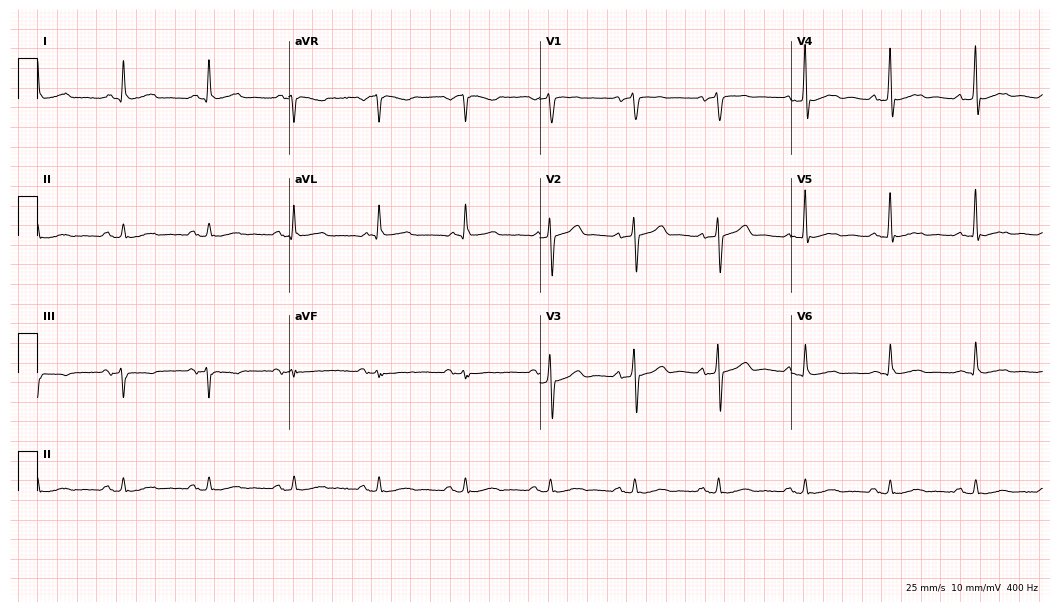
Electrocardiogram (10.2-second recording at 400 Hz), a 61-year-old male. Of the six screened findings (first-degree AV block, right bundle branch block (RBBB), left bundle branch block (LBBB), sinus bradycardia, atrial fibrillation (AF), sinus tachycardia), none is recorded. Other findings, if any, are not listed.